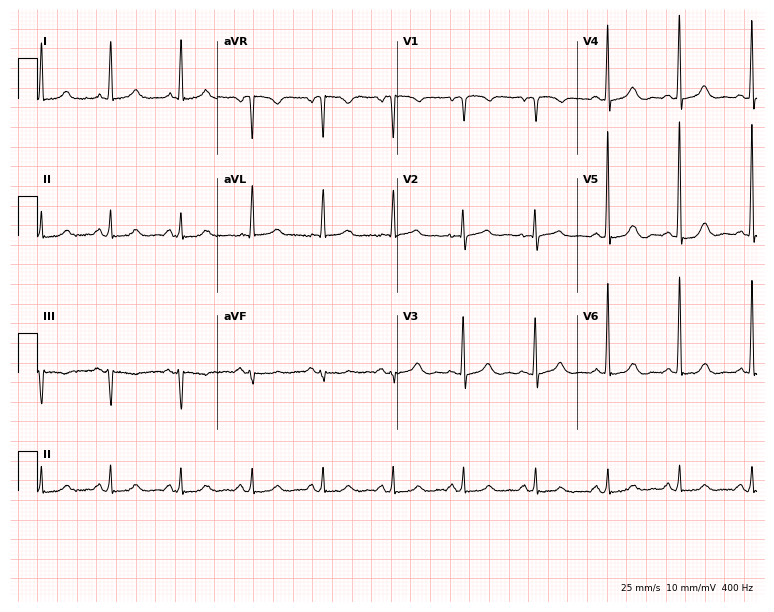
Resting 12-lead electrocardiogram (7.3-second recording at 400 Hz). Patient: a woman, 65 years old. None of these six findings is recorded: first-degree AV block, right bundle branch block, left bundle branch block, sinus bradycardia, atrial fibrillation, sinus tachycardia. Only these six findings were labelled.